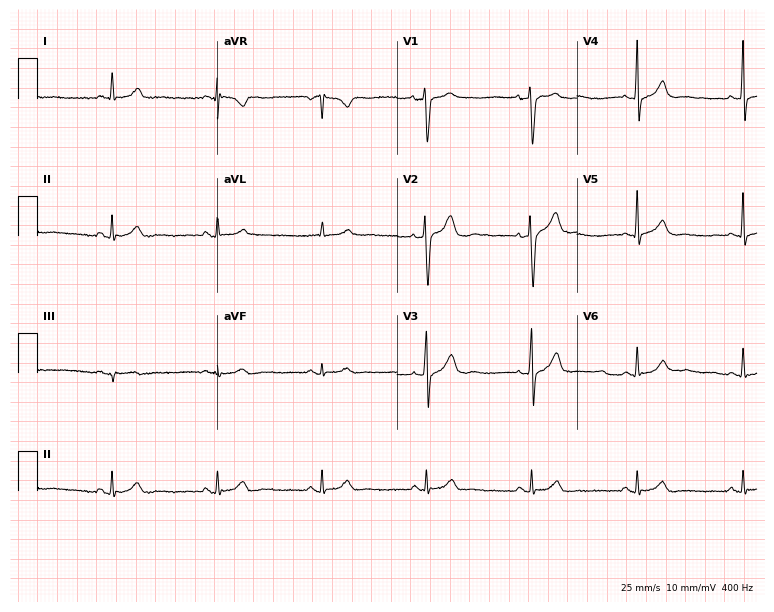
ECG (7.3-second recording at 400 Hz) — a 51-year-old male patient. Labelled as a normal ECG.